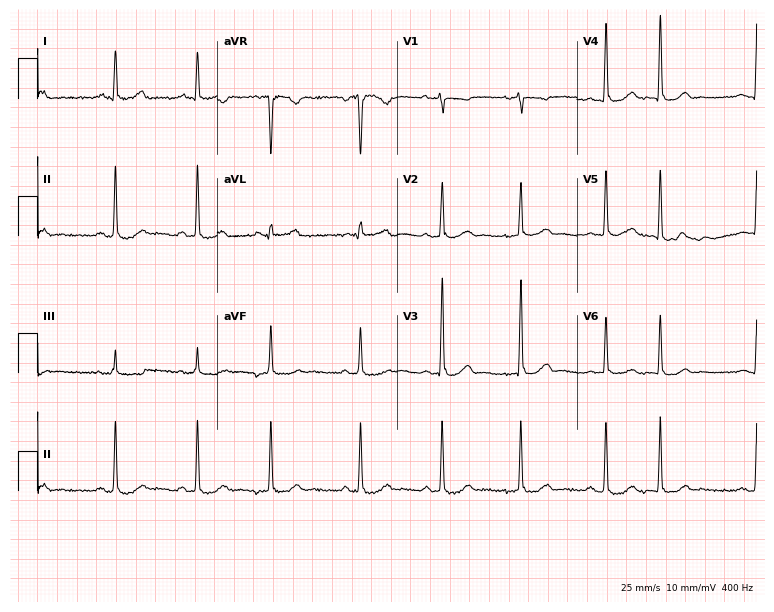
12-lead ECG from a 52-year-old woman. No first-degree AV block, right bundle branch block (RBBB), left bundle branch block (LBBB), sinus bradycardia, atrial fibrillation (AF) or sinus tachycardia recorded for this tracing. Only these six findings were labelled.